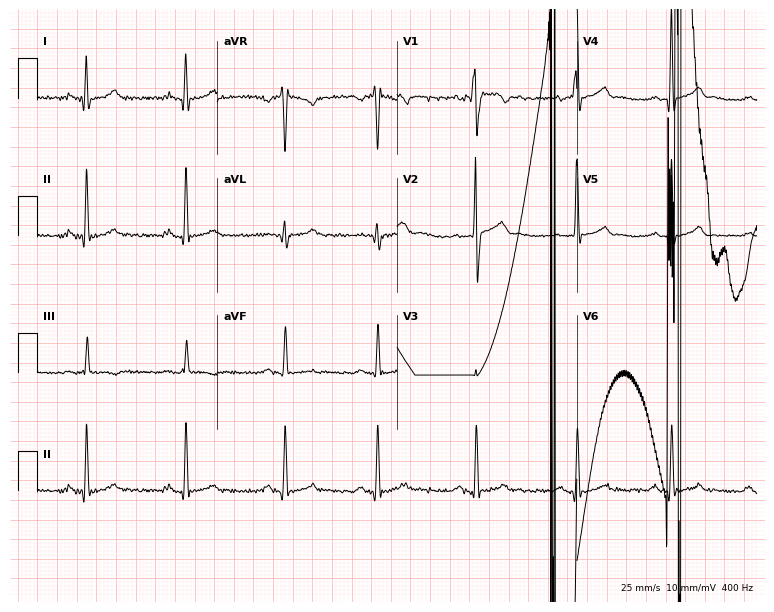
Electrocardiogram, a 46-year-old male. Of the six screened findings (first-degree AV block, right bundle branch block (RBBB), left bundle branch block (LBBB), sinus bradycardia, atrial fibrillation (AF), sinus tachycardia), none is recorded. Other findings, if any, are not listed.